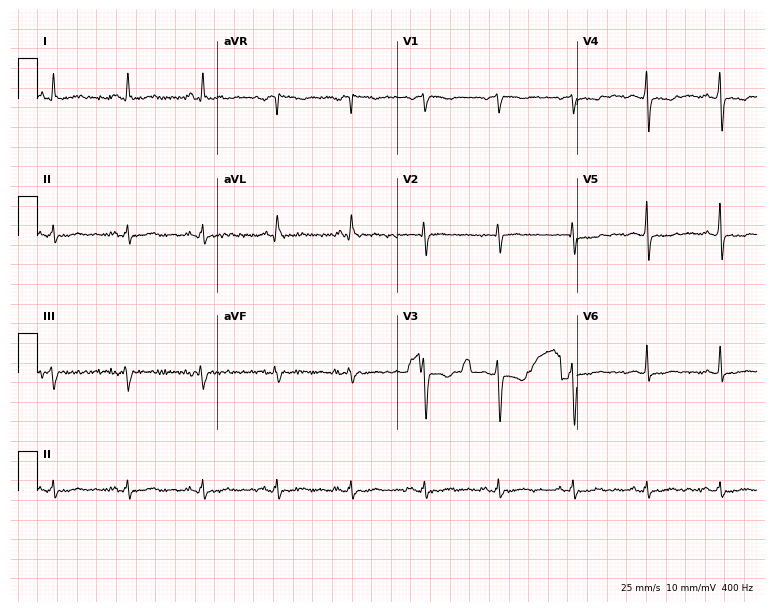
Resting 12-lead electrocardiogram (7.3-second recording at 400 Hz). Patient: a female, 66 years old. None of these six findings is recorded: first-degree AV block, right bundle branch block, left bundle branch block, sinus bradycardia, atrial fibrillation, sinus tachycardia. Only these six findings were labelled.